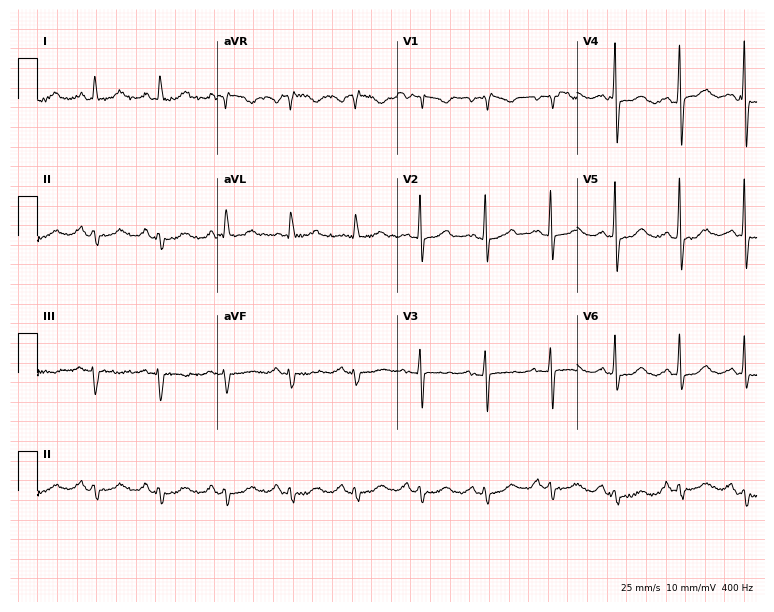
ECG — a female, 67 years old. Screened for six findings — first-degree AV block, right bundle branch block (RBBB), left bundle branch block (LBBB), sinus bradycardia, atrial fibrillation (AF), sinus tachycardia — none is recorded. Findings outside these six are not listed.